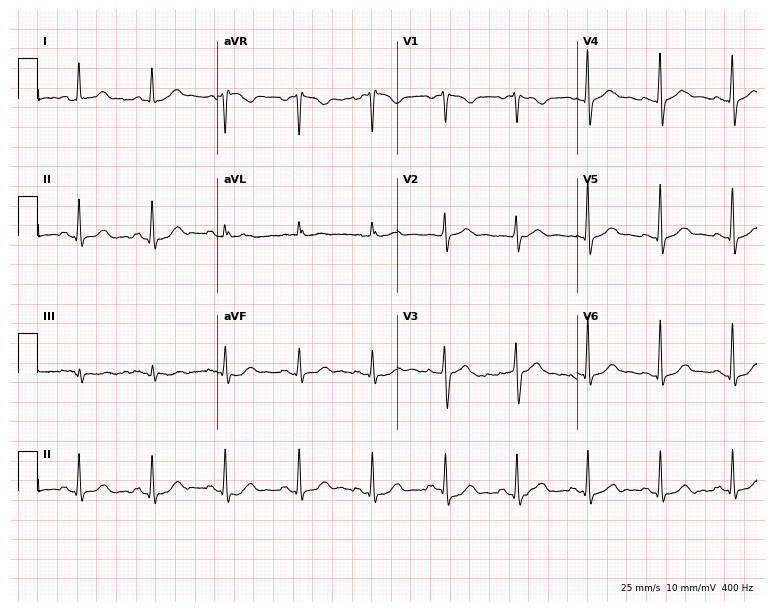
Electrocardiogram (7.3-second recording at 400 Hz), a female patient, 47 years old. Overall reading on record: normal ECG.